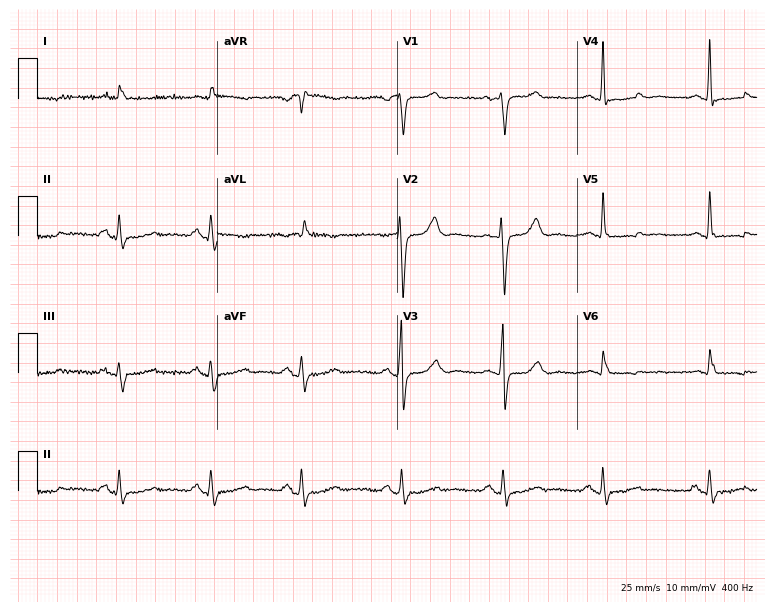
12-lead ECG from a female patient, 65 years old. No first-degree AV block, right bundle branch block, left bundle branch block, sinus bradycardia, atrial fibrillation or sinus tachycardia recorded for this tracing. Only these six findings were labelled.